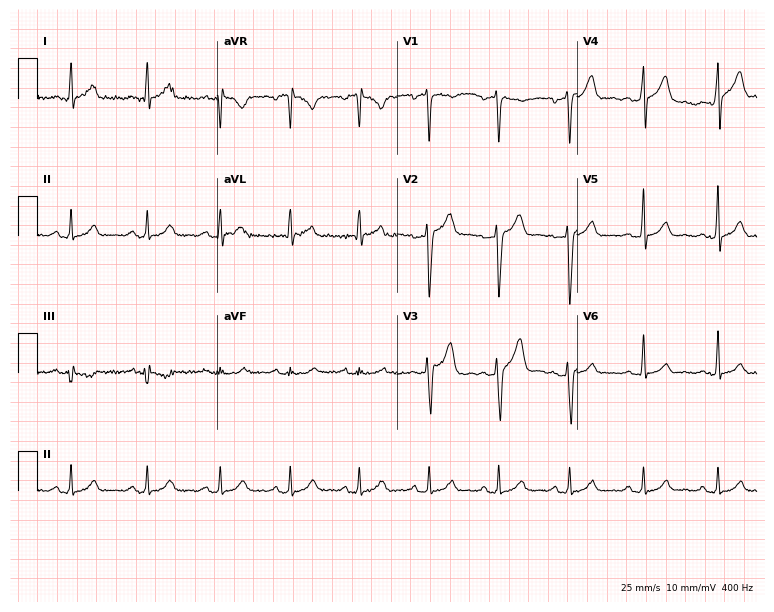
12-lead ECG from a male patient, 39 years old. Recorded interpretation: within normal limits.